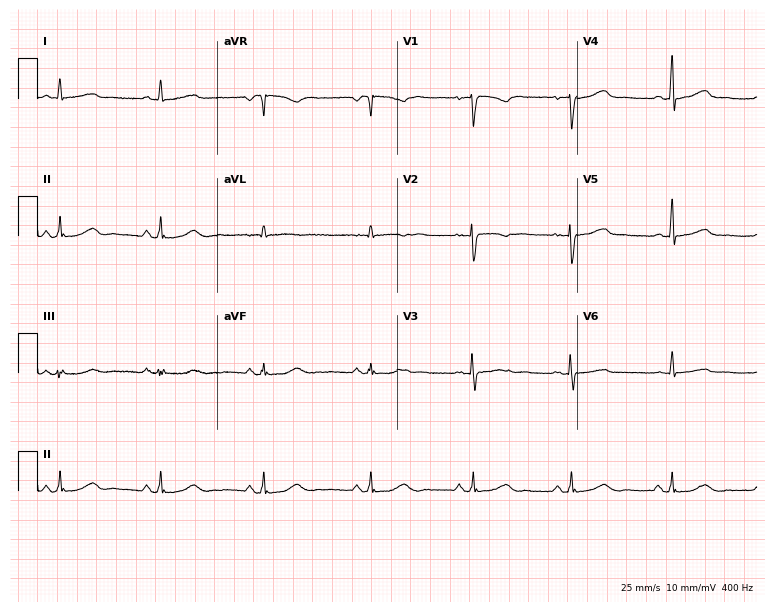
Standard 12-lead ECG recorded from a 43-year-old woman (7.3-second recording at 400 Hz). None of these six findings is recorded: first-degree AV block, right bundle branch block, left bundle branch block, sinus bradycardia, atrial fibrillation, sinus tachycardia.